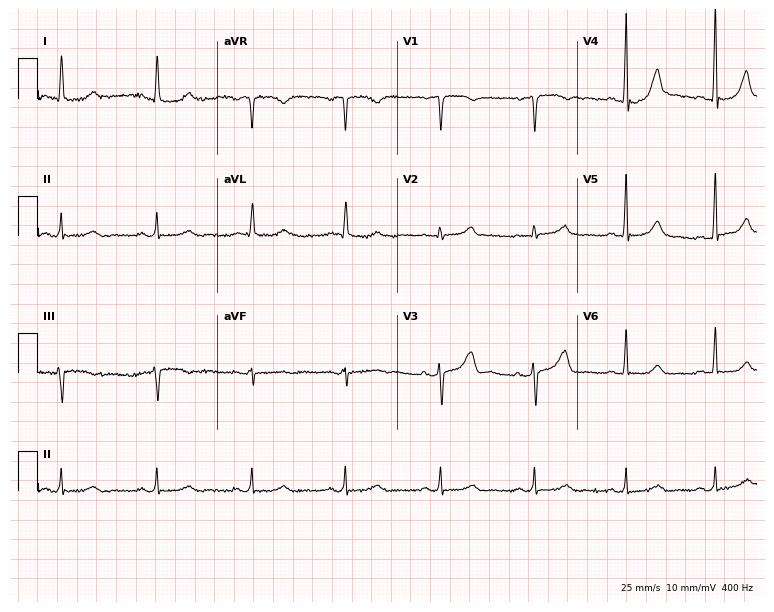
Electrocardiogram (7.3-second recording at 400 Hz), a 69-year-old female patient. Of the six screened findings (first-degree AV block, right bundle branch block, left bundle branch block, sinus bradycardia, atrial fibrillation, sinus tachycardia), none is recorded.